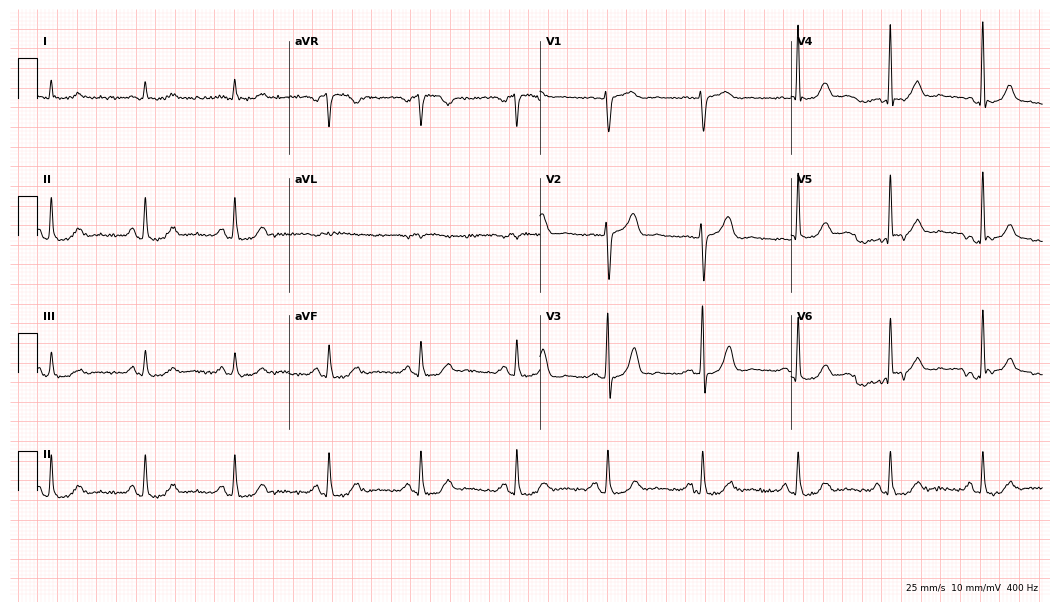
ECG — a male, 73 years old. Labelled as a normal ECG.